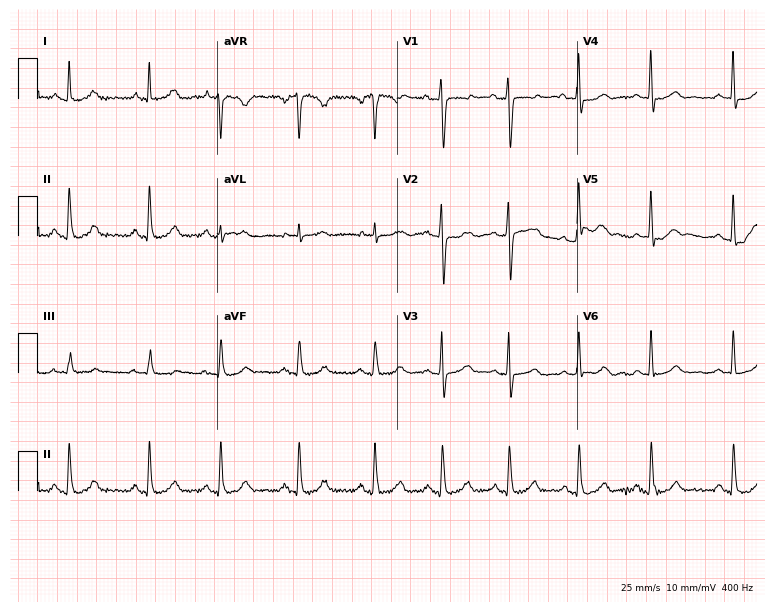
Electrocardiogram, a 42-year-old female patient. Overall reading on record: normal ECG.